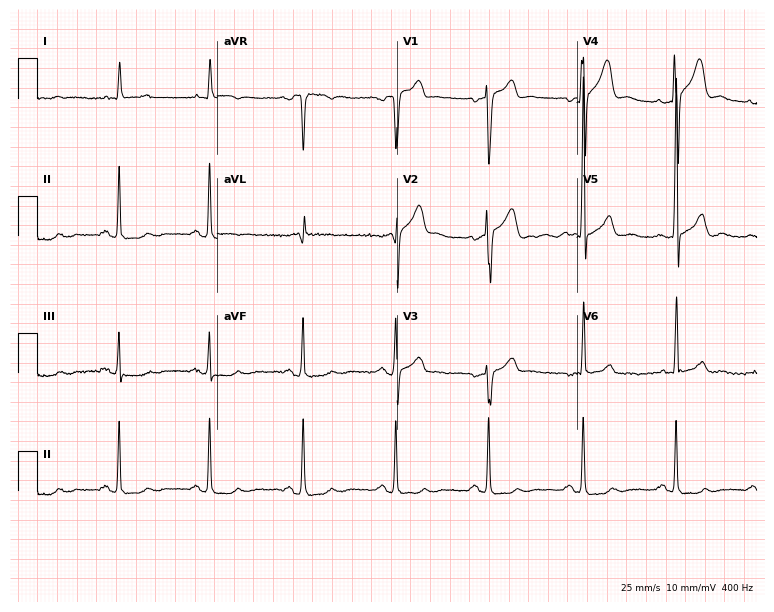
Resting 12-lead electrocardiogram (7.3-second recording at 400 Hz). Patient: a 74-year-old male. None of these six findings is recorded: first-degree AV block, right bundle branch block (RBBB), left bundle branch block (LBBB), sinus bradycardia, atrial fibrillation (AF), sinus tachycardia. Only these six findings were labelled.